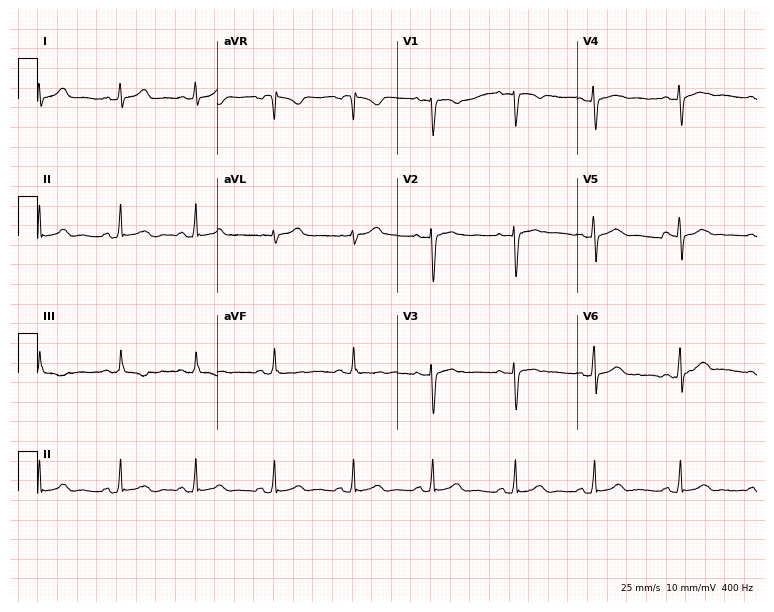
Electrocardiogram, a female, 23 years old. Of the six screened findings (first-degree AV block, right bundle branch block, left bundle branch block, sinus bradycardia, atrial fibrillation, sinus tachycardia), none is recorded.